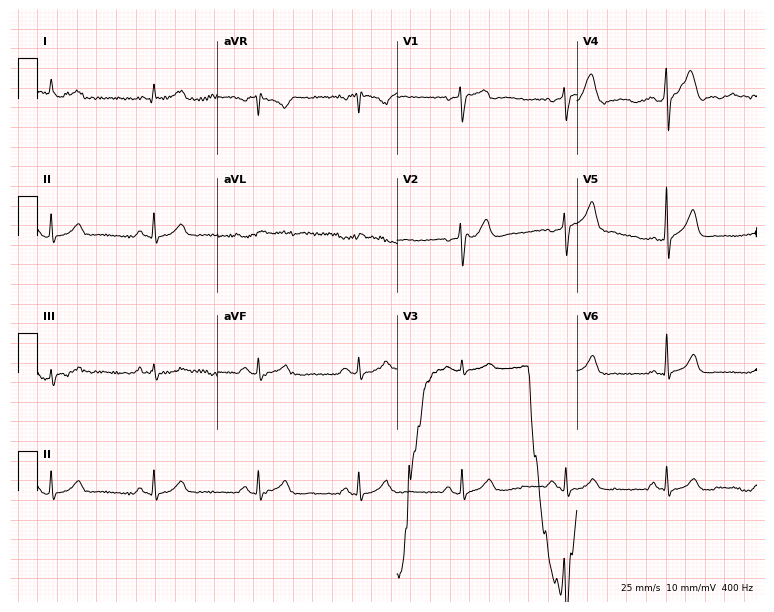
Electrocardiogram (7.3-second recording at 400 Hz), a 53-year-old man. Of the six screened findings (first-degree AV block, right bundle branch block (RBBB), left bundle branch block (LBBB), sinus bradycardia, atrial fibrillation (AF), sinus tachycardia), none is recorded.